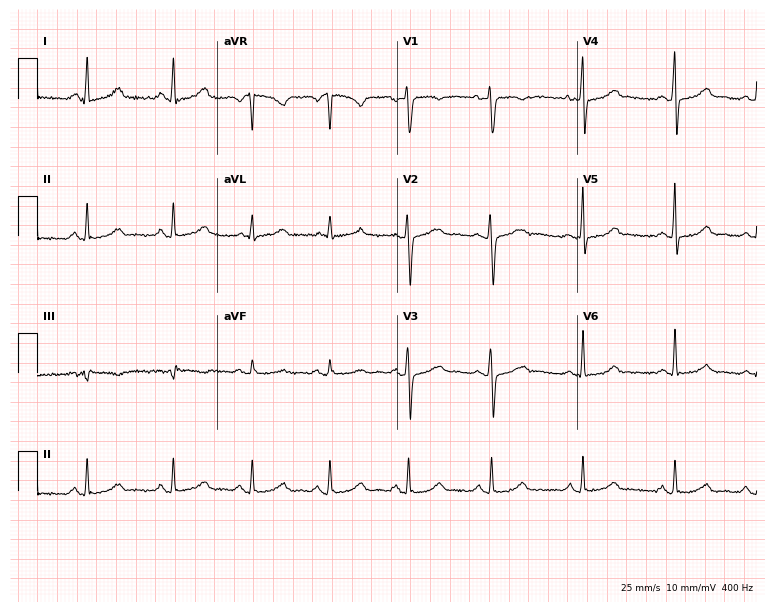
Electrocardiogram, a 45-year-old female. Overall reading on record: normal ECG.